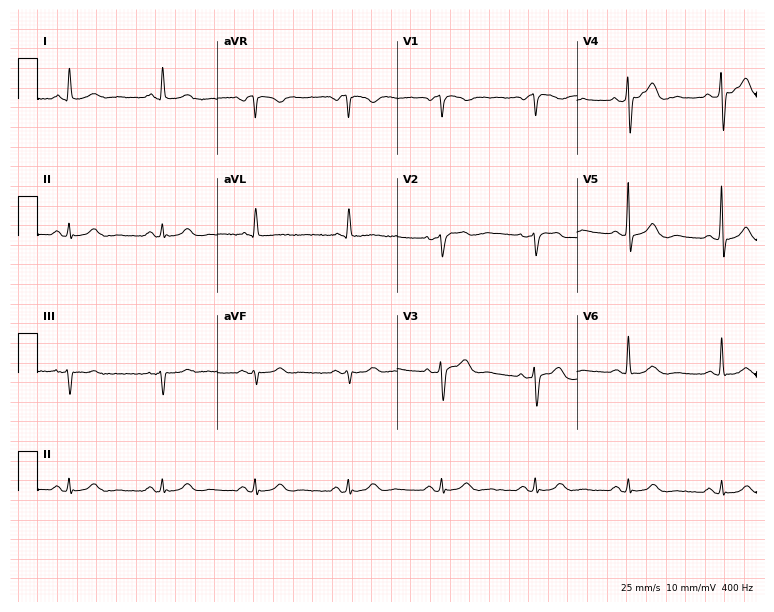
ECG — a man, 81 years old. Screened for six findings — first-degree AV block, right bundle branch block, left bundle branch block, sinus bradycardia, atrial fibrillation, sinus tachycardia — none is recorded.